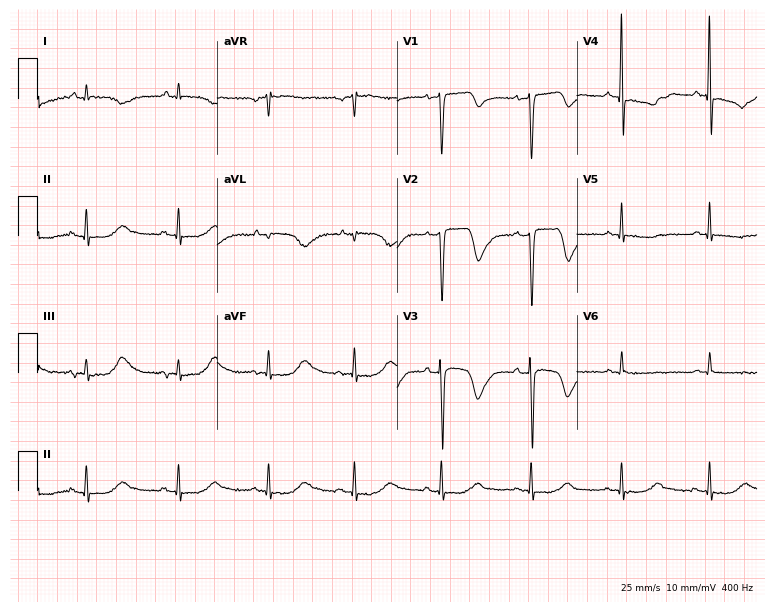
ECG — a female, 60 years old. Screened for six findings — first-degree AV block, right bundle branch block, left bundle branch block, sinus bradycardia, atrial fibrillation, sinus tachycardia — none is recorded.